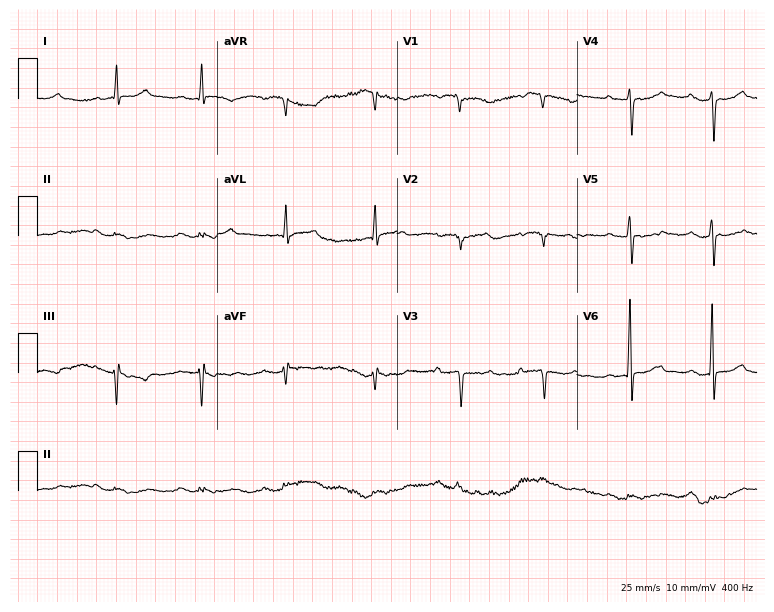
12-lead ECG (7.3-second recording at 400 Hz) from a man, 87 years old. Screened for six findings — first-degree AV block, right bundle branch block (RBBB), left bundle branch block (LBBB), sinus bradycardia, atrial fibrillation (AF), sinus tachycardia — none is recorded.